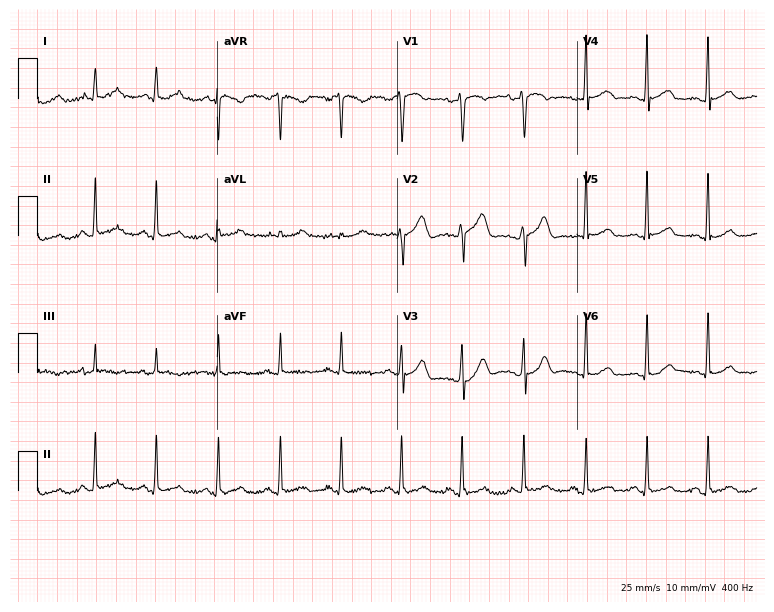
12-lead ECG (7.3-second recording at 400 Hz) from a 32-year-old female patient. Screened for six findings — first-degree AV block, right bundle branch block, left bundle branch block, sinus bradycardia, atrial fibrillation, sinus tachycardia — none is recorded. Other findings, if any, are not listed.